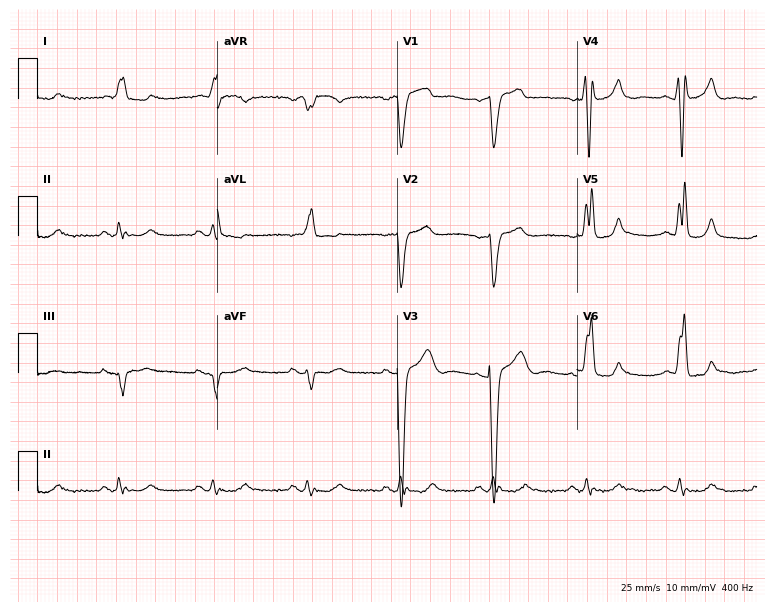
Standard 12-lead ECG recorded from an 80-year-old female patient. None of these six findings is recorded: first-degree AV block, right bundle branch block, left bundle branch block, sinus bradycardia, atrial fibrillation, sinus tachycardia. Only these six findings were labelled.